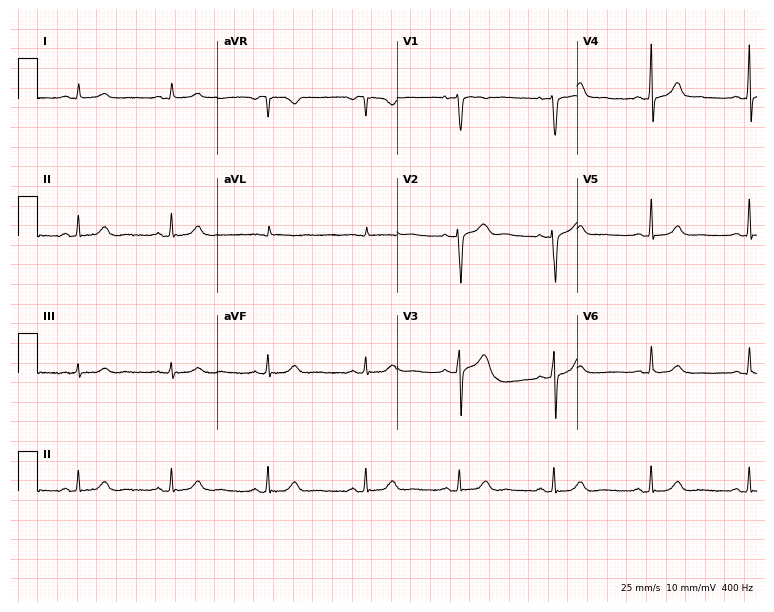
Electrocardiogram (7.3-second recording at 400 Hz), a female, 35 years old. Overall reading on record: normal ECG.